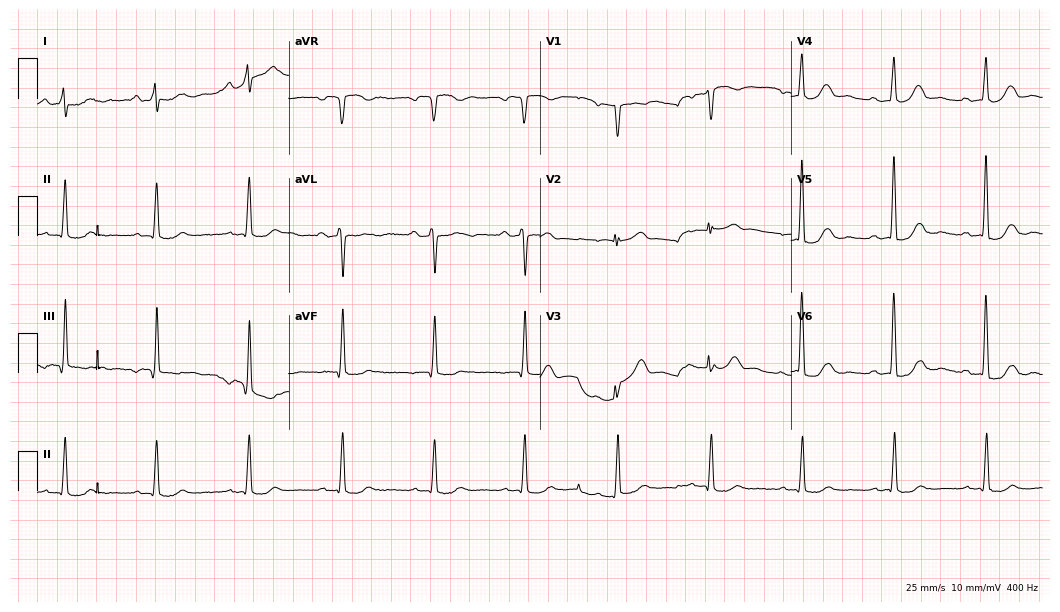
12-lead ECG from a man, 82 years old. No first-degree AV block, right bundle branch block (RBBB), left bundle branch block (LBBB), sinus bradycardia, atrial fibrillation (AF) or sinus tachycardia recorded for this tracing.